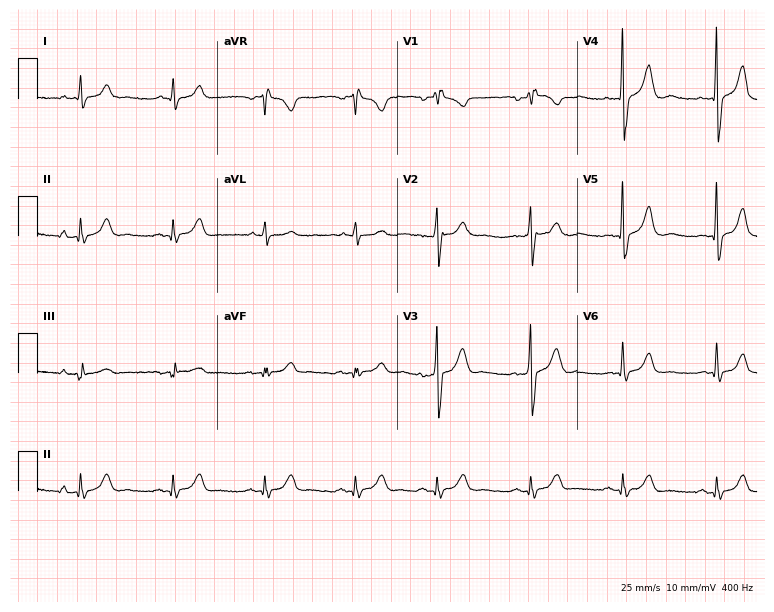
ECG — an 80-year-old female patient. Screened for six findings — first-degree AV block, right bundle branch block, left bundle branch block, sinus bradycardia, atrial fibrillation, sinus tachycardia — none is recorded. Findings outside these six are not listed.